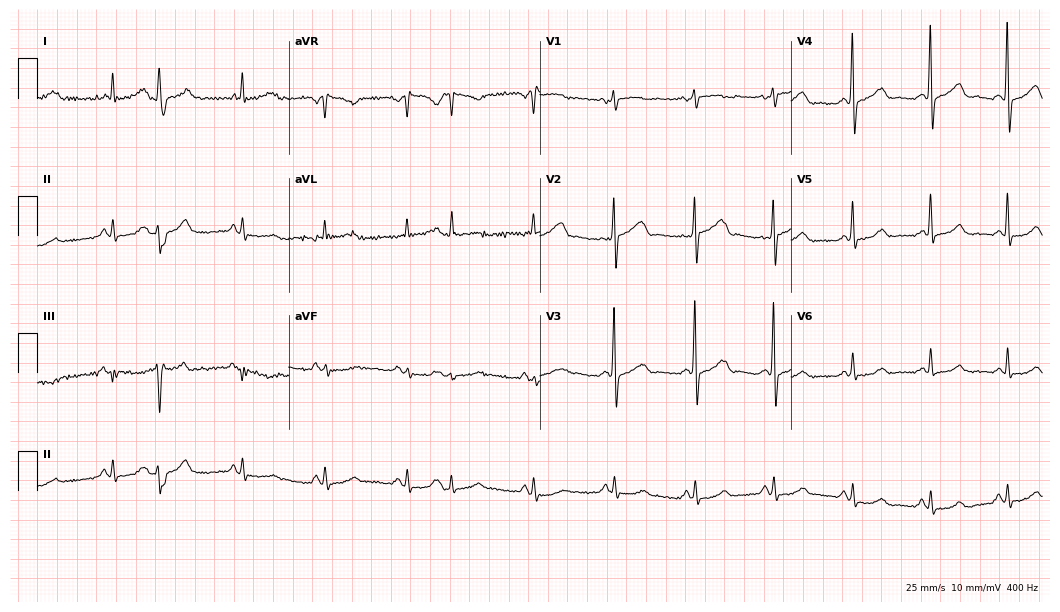
Resting 12-lead electrocardiogram (10.2-second recording at 400 Hz). Patient: a 64-year-old female. None of these six findings is recorded: first-degree AV block, right bundle branch block (RBBB), left bundle branch block (LBBB), sinus bradycardia, atrial fibrillation (AF), sinus tachycardia. Findings outside these six are not listed.